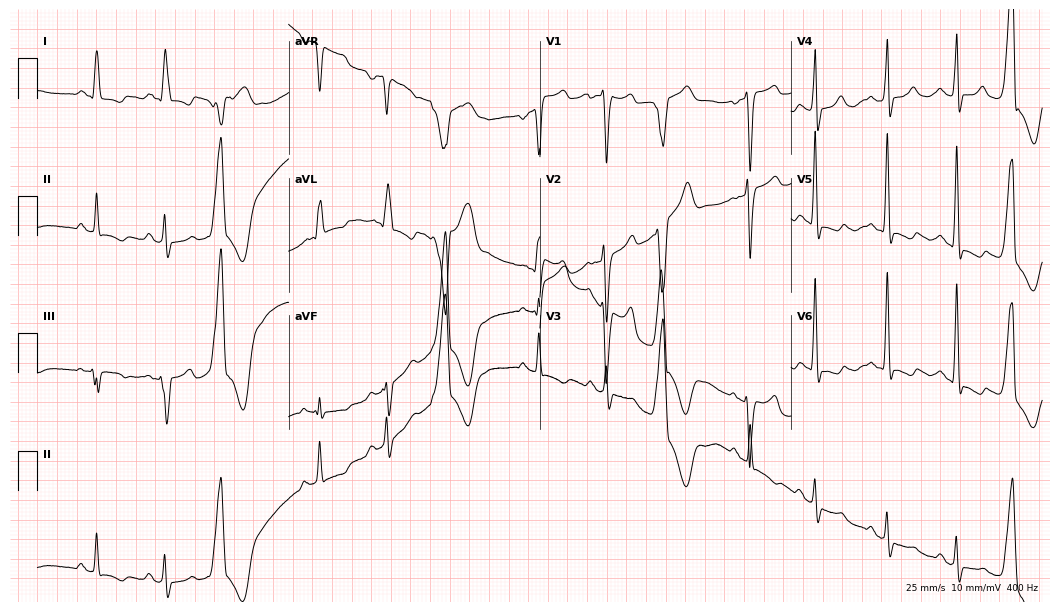
Electrocardiogram, a female, 55 years old. Of the six screened findings (first-degree AV block, right bundle branch block, left bundle branch block, sinus bradycardia, atrial fibrillation, sinus tachycardia), none is recorded.